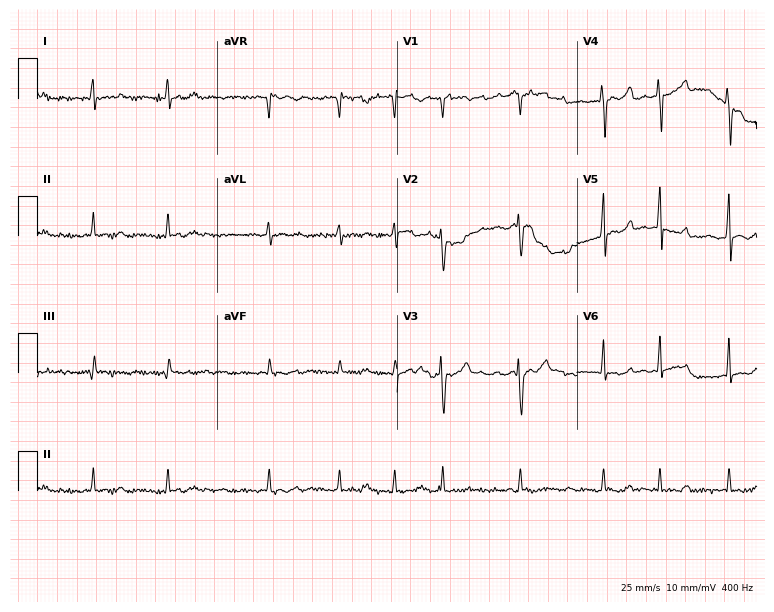
12-lead ECG from a 67-year-old male patient (7.3-second recording at 400 Hz). Shows atrial fibrillation (AF).